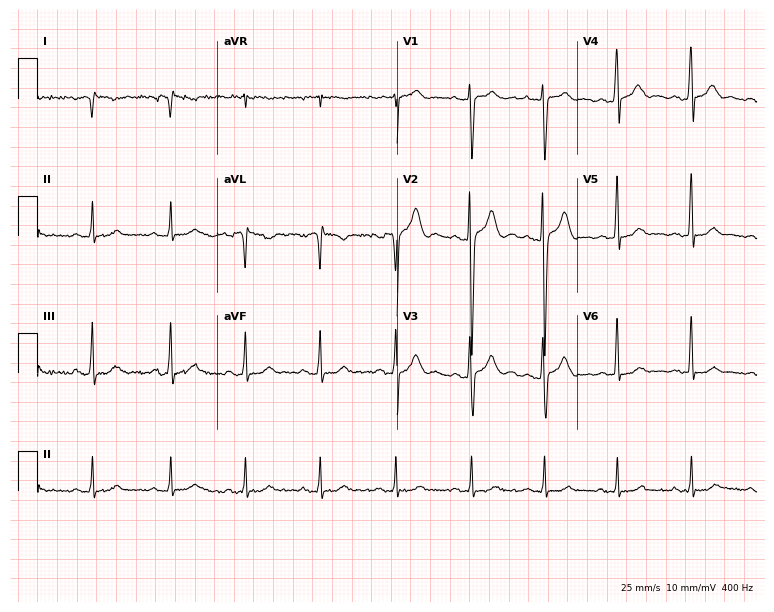
Standard 12-lead ECG recorded from a 20-year-old male. None of these six findings is recorded: first-degree AV block, right bundle branch block (RBBB), left bundle branch block (LBBB), sinus bradycardia, atrial fibrillation (AF), sinus tachycardia.